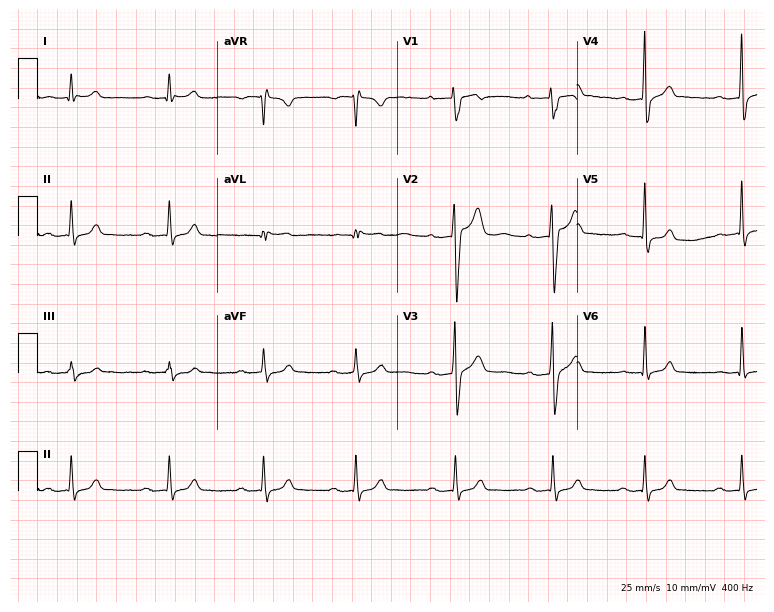
ECG — a male patient, 26 years old. Findings include first-degree AV block.